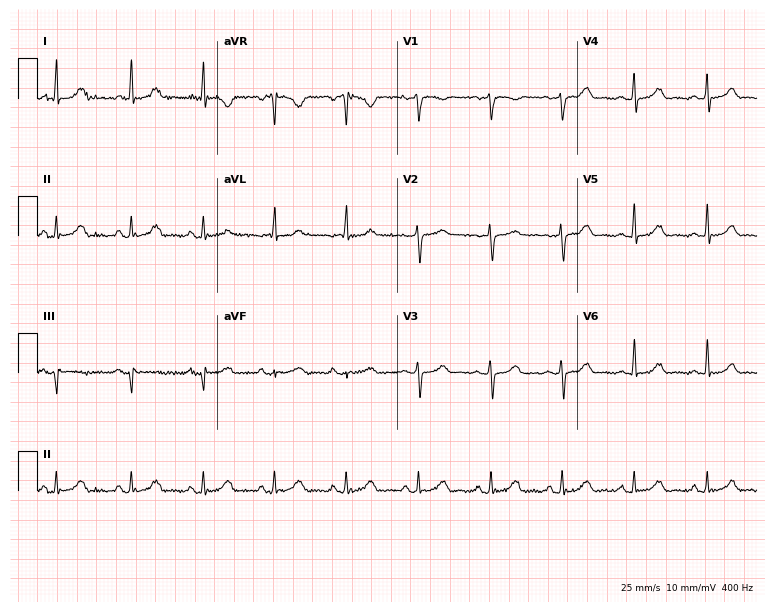
12-lead ECG (7.3-second recording at 400 Hz) from a woman, 64 years old. Labelled as a normal ECG.